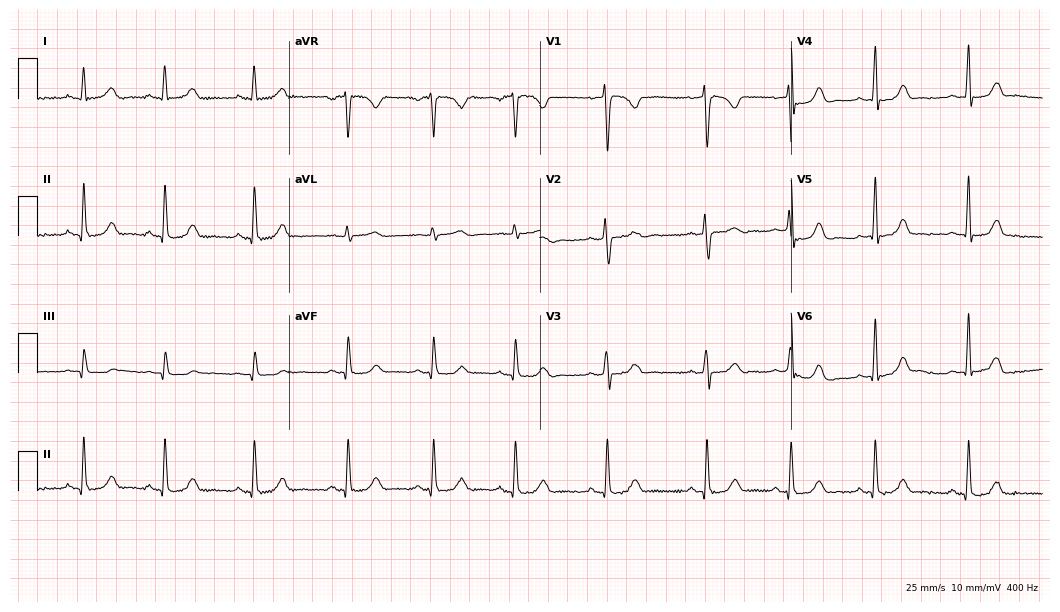
12-lead ECG (10.2-second recording at 400 Hz) from a 19-year-old female. Labelled as a normal ECG.